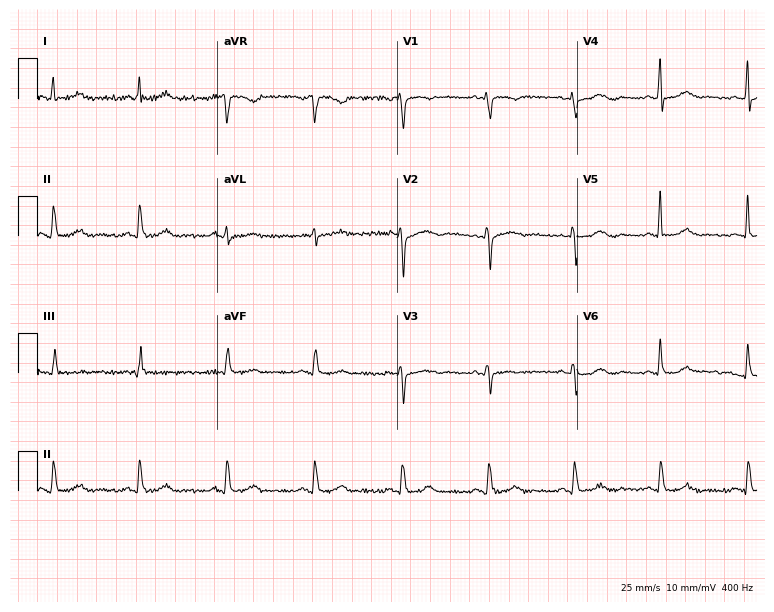
ECG (7.3-second recording at 400 Hz) — a 57-year-old female patient. Labelled as a normal ECG.